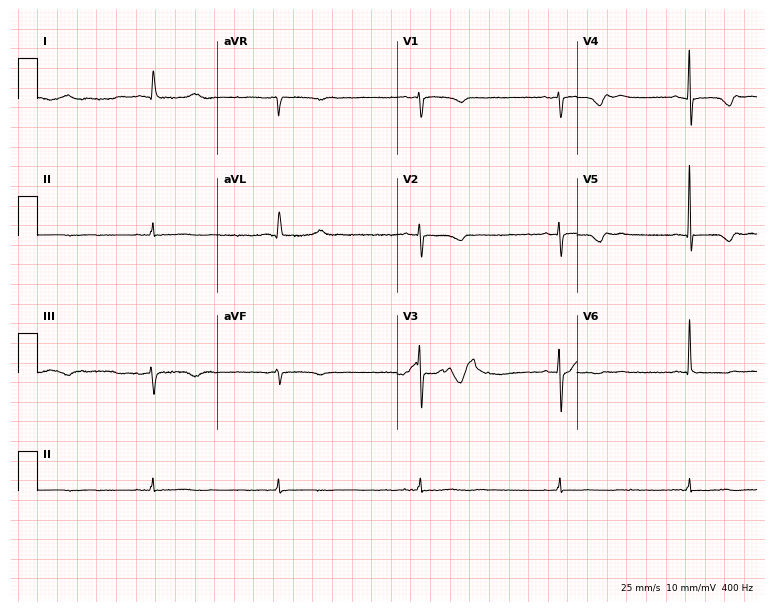
Resting 12-lead electrocardiogram. Patient: a female, 71 years old. None of these six findings is recorded: first-degree AV block, right bundle branch block, left bundle branch block, sinus bradycardia, atrial fibrillation, sinus tachycardia. Findings outside these six are not listed.